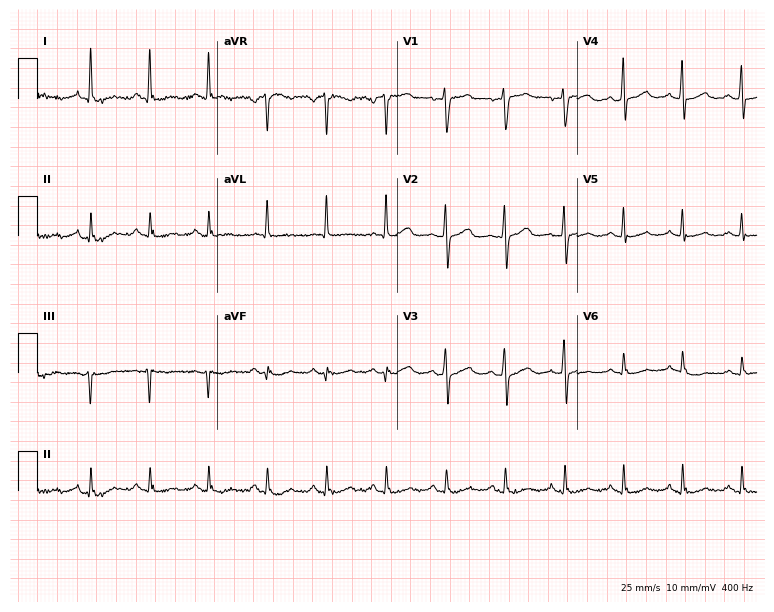
Standard 12-lead ECG recorded from a 63-year-old female (7.3-second recording at 400 Hz). None of these six findings is recorded: first-degree AV block, right bundle branch block, left bundle branch block, sinus bradycardia, atrial fibrillation, sinus tachycardia.